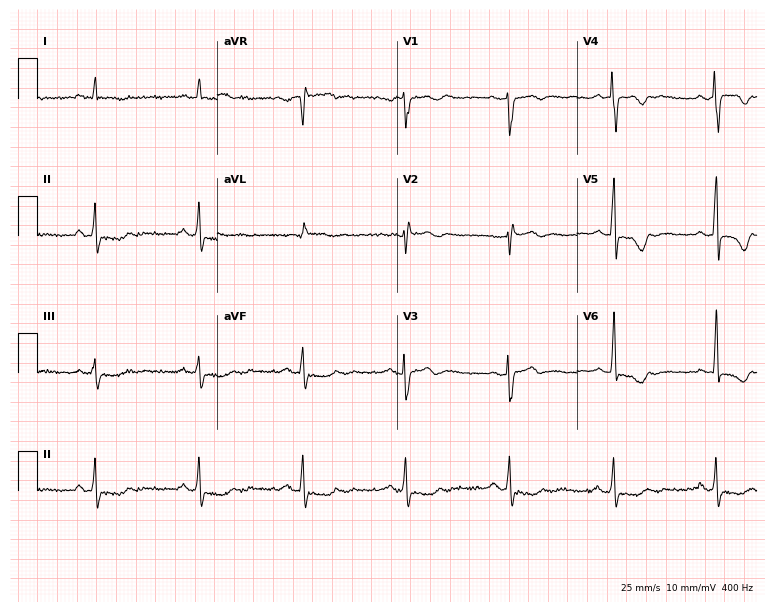
Standard 12-lead ECG recorded from a 63-year-old female patient (7.3-second recording at 400 Hz). None of these six findings is recorded: first-degree AV block, right bundle branch block, left bundle branch block, sinus bradycardia, atrial fibrillation, sinus tachycardia. Findings outside these six are not listed.